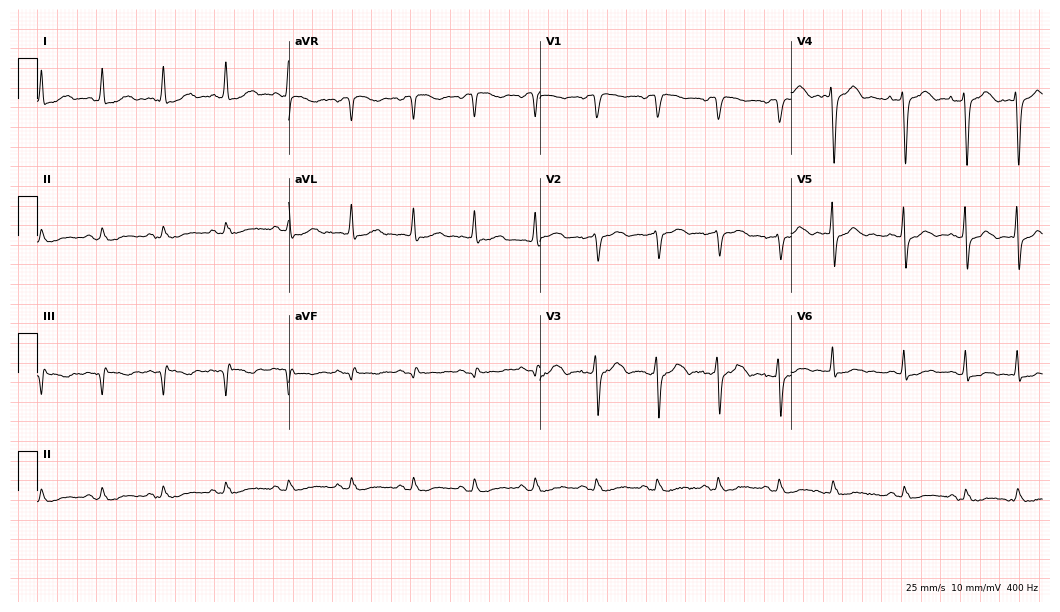
Standard 12-lead ECG recorded from a female, 67 years old (10.2-second recording at 400 Hz). None of these six findings is recorded: first-degree AV block, right bundle branch block, left bundle branch block, sinus bradycardia, atrial fibrillation, sinus tachycardia.